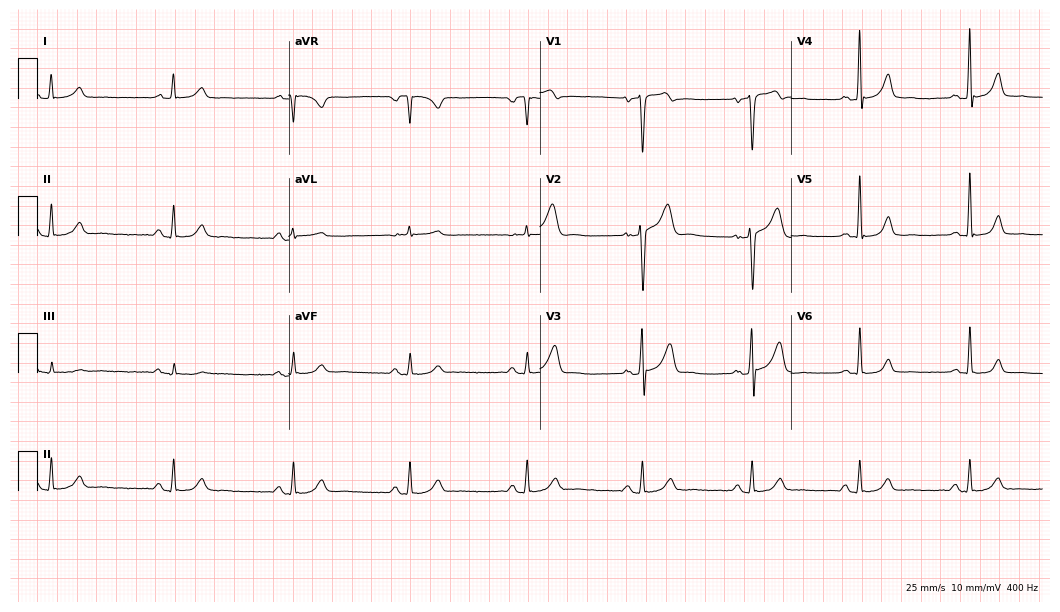
12-lead ECG from a man, 46 years old. Screened for six findings — first-degree AV block, right bundle branch block, left bundle branch block, sinus bradycardia, atrial fibrillation, sinus tachycardia — none is recorded.